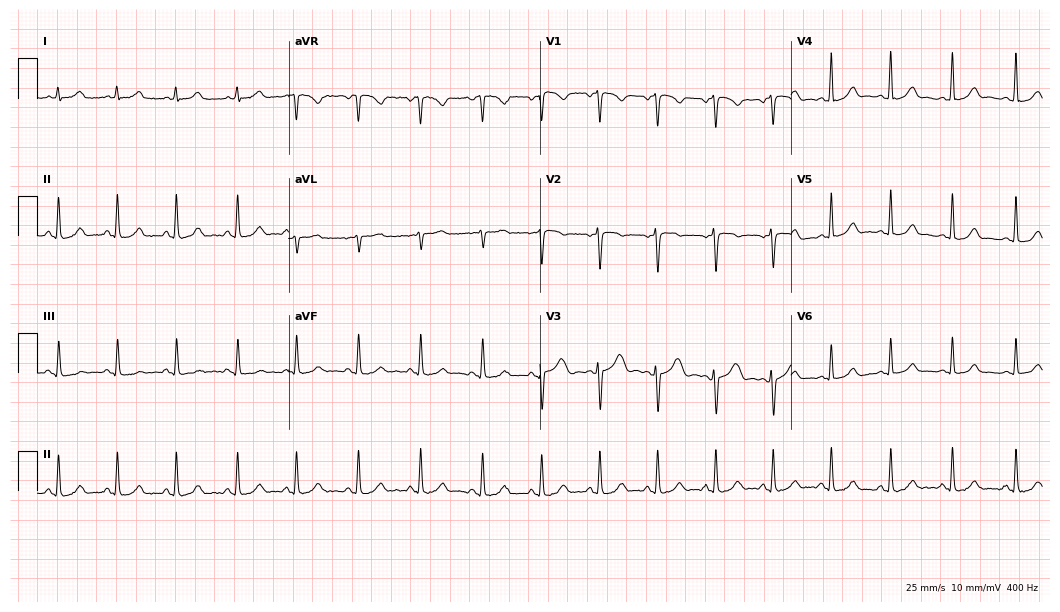
Standard 12-lead ECG recorded from a female, 25 years old. Read as a normal ECG.